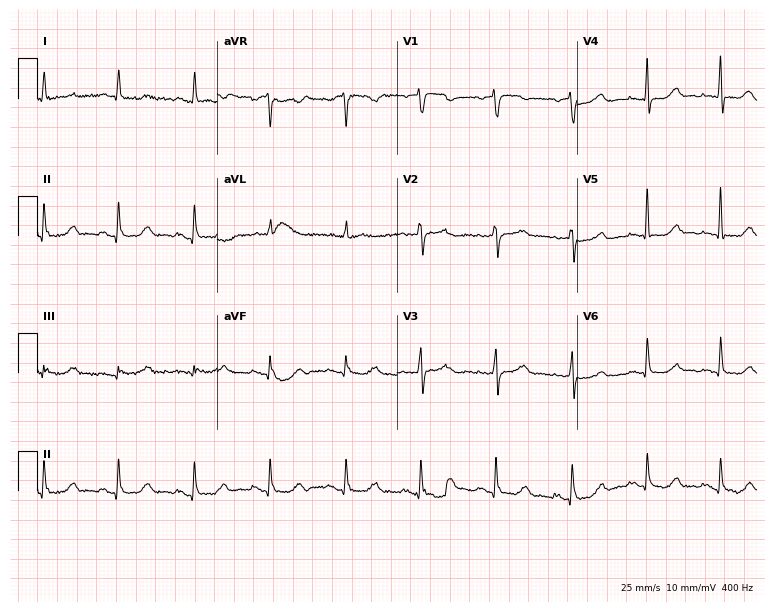
ECG — a woman, 76 years old. Labelled as a normal ECG.